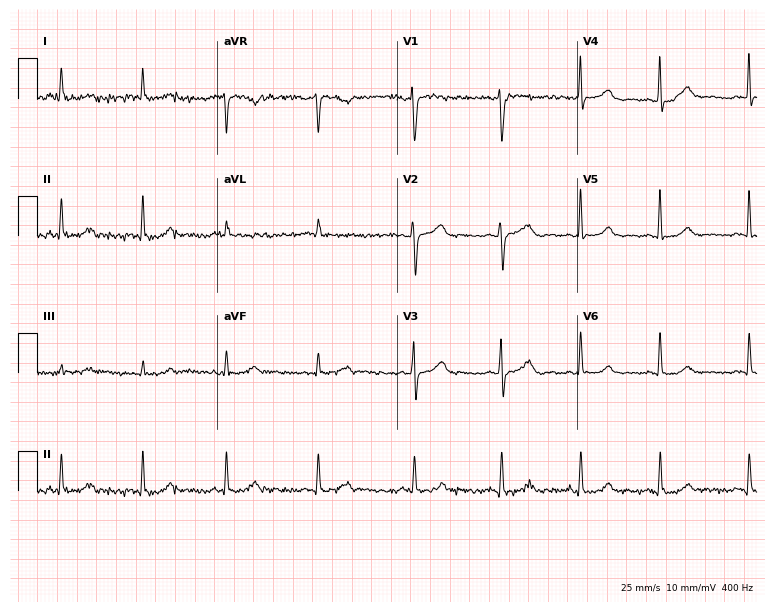
12-lead ECG from a man, 42 years old. No first-degree AV block, right bundle branch block, left bundle branch block, sinus bradycardia, atrial fibrillation or sinus tachycardia recorded for this tracing. Other findings, if any, are not listed.